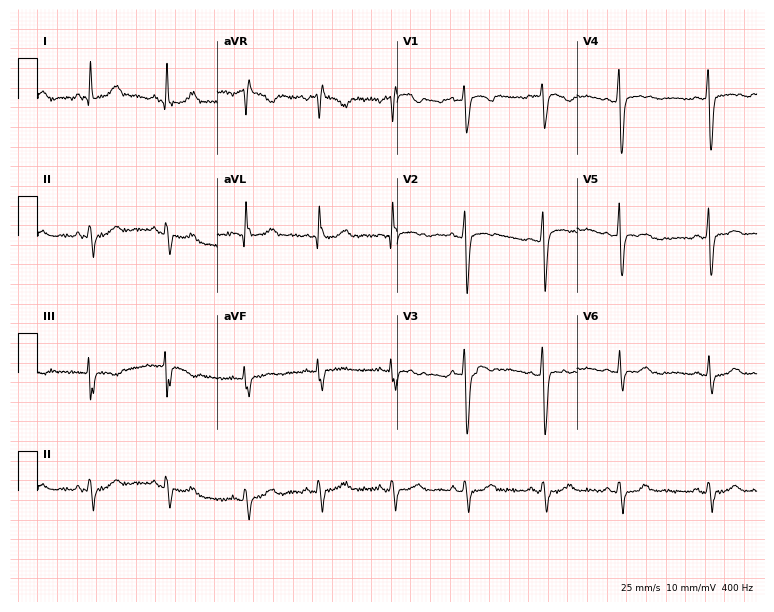
Standard 12-lead ECG recorded from a 33-year-old female patient. None of these six findings is recorded: first-degree AV block, right bundle branch block, left bundle branch block, sinus bradycardia, atrial fibrillation, sinus tachycardia.